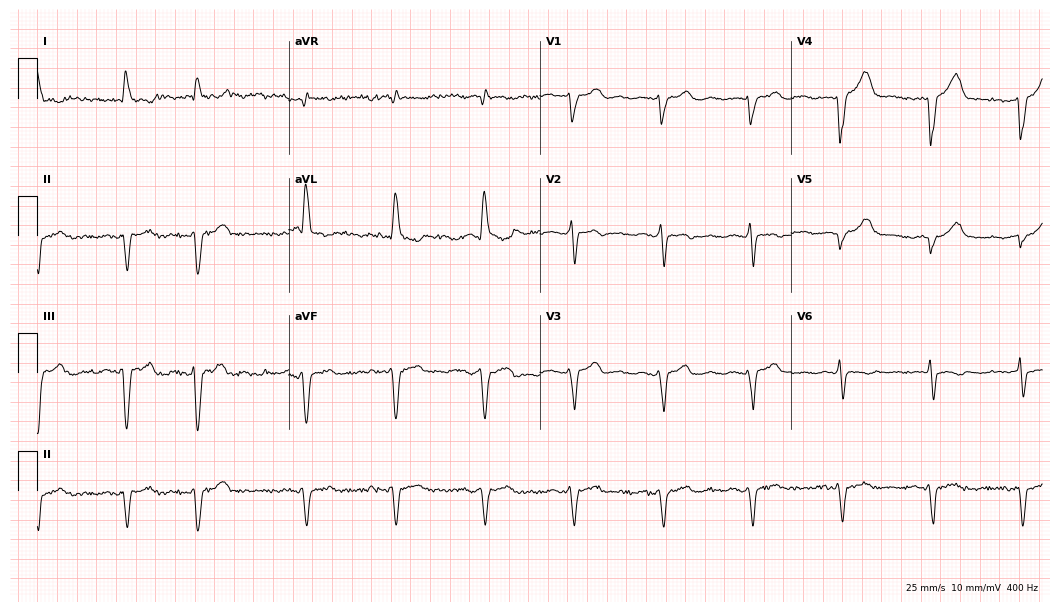
12-lead ECG (10.2-second recording at 400 Hz) from a female patient, 85 years old. Screened for six findings — first-degree AV block, right bundle branch block (RBBB), left bundle branch block (LBBB), sinus bradycardia, atrial fibrillation (AF), sinus tachycardia — none is recorded.